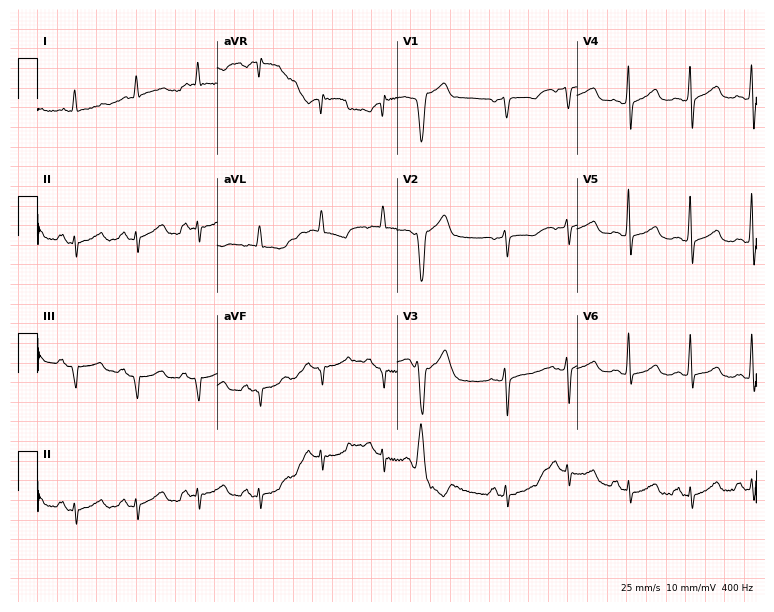
Standard 12-lead ECG recorded from a woman, 68 years old. None of these six findings is recorded: first-degree AV block, right bundle branch block, left bundle branch block, sinus bradycardia, atrial fibrillation, sinus tachycardia. Only these six findings were labelled.